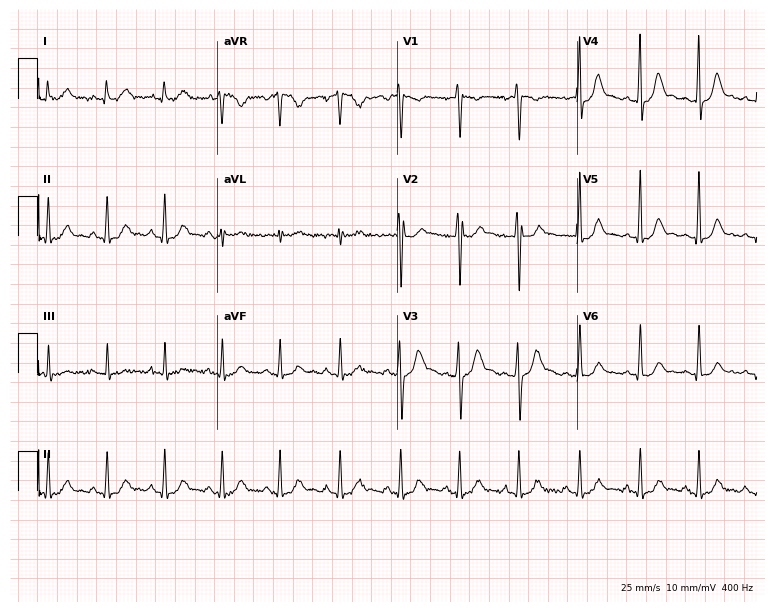
Electrocardiogram (7.3-second recording at 400 Hz), a male patient, 25 years old. Overall reading on record: normal ECG.